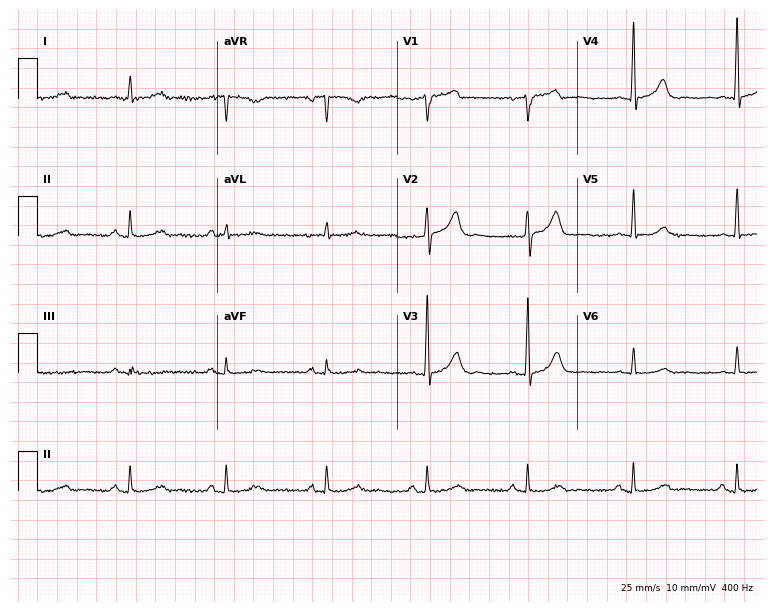
Resting 12-lead electrocardiogram (7.3-second recording at 400 Hz). Patient: a 66-year-old man. Read as a normal ECG.